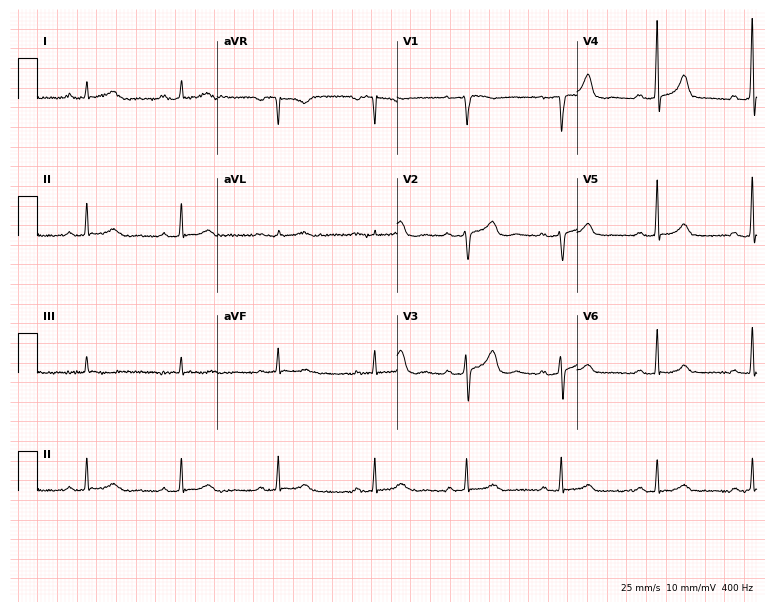
Resting 12-lead electrocardiogram (7.3-second recording at 400 Hz). Patient: a 51-year-old female. Read as a normal ECG.